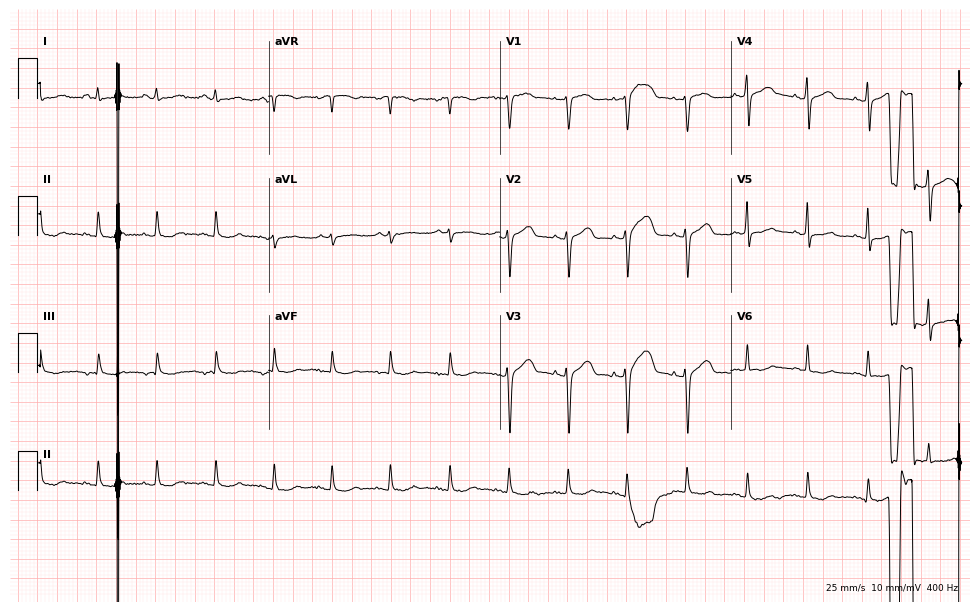
ECG (9.4-second recording at 400 Hz) — a 54-year-old woman. Screened for six findings — first-degree AV block, right bundle branch block (RBBB), left bundle branch block (LBBB), sinus bradycardia, atrial fibrillation (AF), sinus tachycardia — none is recorded. Findings outside these six are not listed.